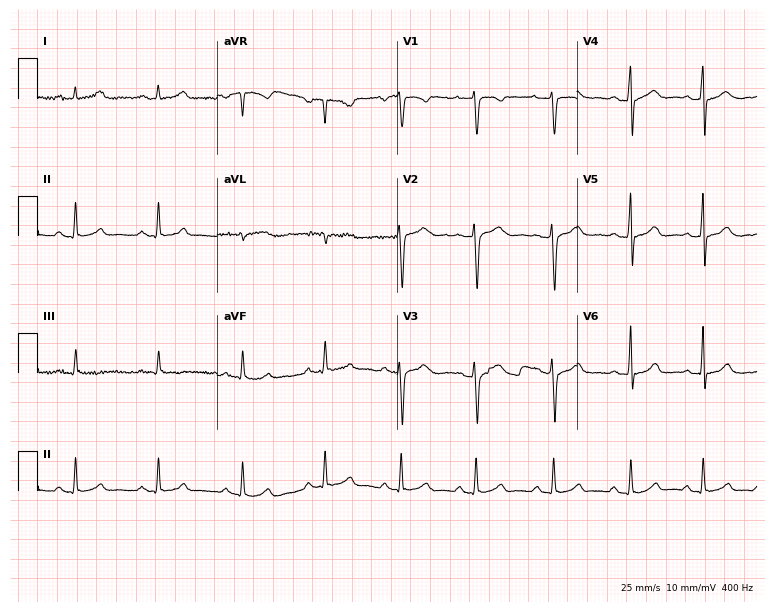
Electrocardiogram (7.3-second recording at 400 Hz), a woman, 30 years old. Of the six screened findings (first-degree AV block, right bundle branch block, left bundle branch block, sinus bradycardia, atrial fibrillation, sinus tachycardia), none is recorded.